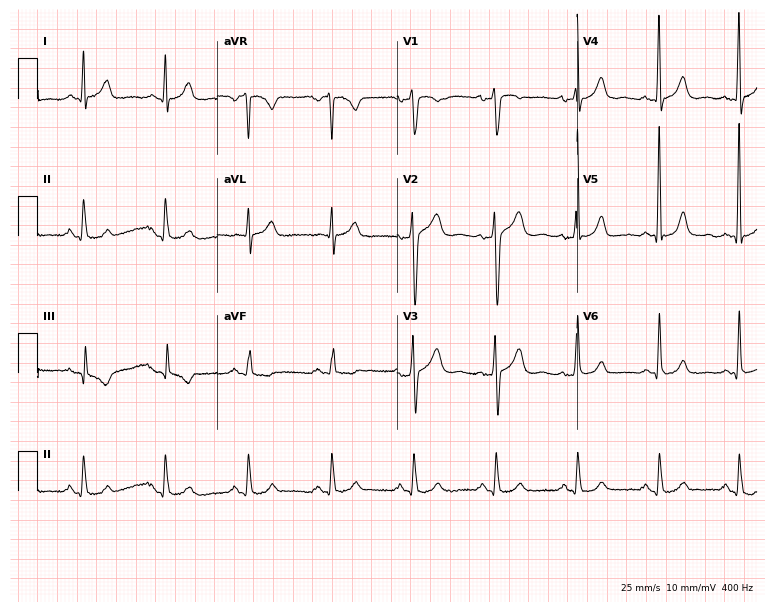
Resting 12-lead electrocardiogram. Patient: a 56-year-old male. None of these six findings is recorded: first-degree AV block, right bundle branch block, left bundle branch block, sinus bradycardia, atrial fibrillation, sinus tachycardia. Only these six findings were labelled.